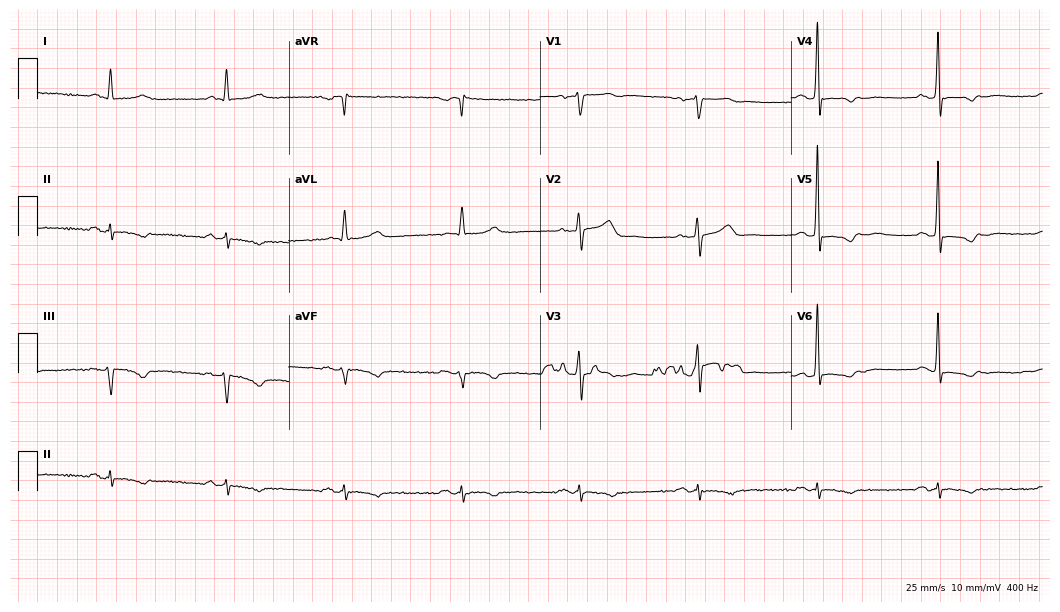
Standard 12-lead ECG recorded from a man, 76 years old. None of these six findings is recorded: first-degree AV block, right bundle branch block (RBBB), left bundle branch block (LBBB), sinus bradycardia, atrial fibrillation (AF), sinus tachycardia.